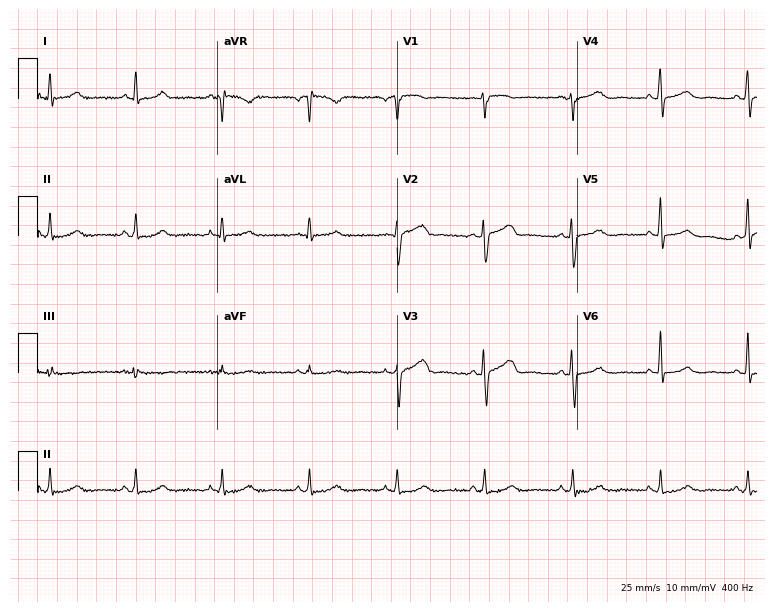
12-lead ECG from a 41-year-old woman (7.3-second recording at 400 Hz). No first-degree AV block, right bundle branch block, left bundle branch block, sinus bradycardia, atrial fibrillation or sinus tachycardia recorded for this tracing. Findings outside these six are not listed.